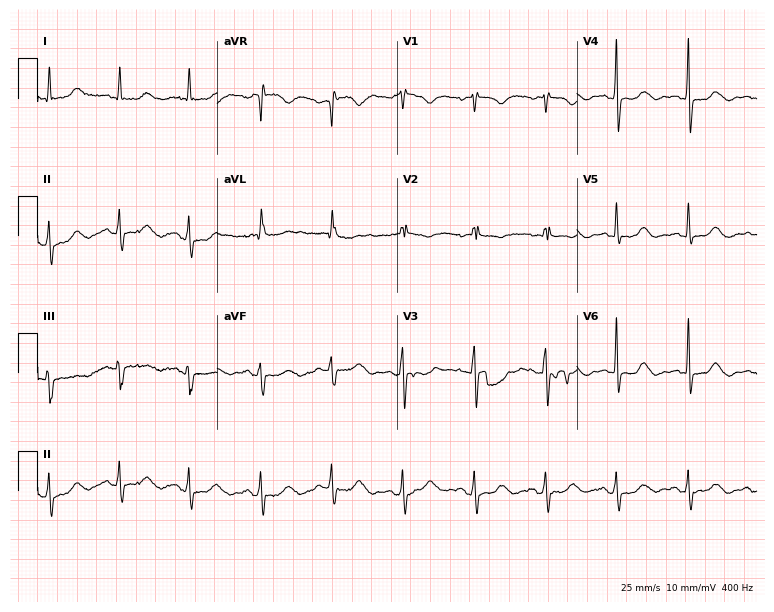
Resting 12-lead electrocardiogram (7.3-second recording at 400 Hz). Patient: a female, 73 years old. Read as a normal ECG.